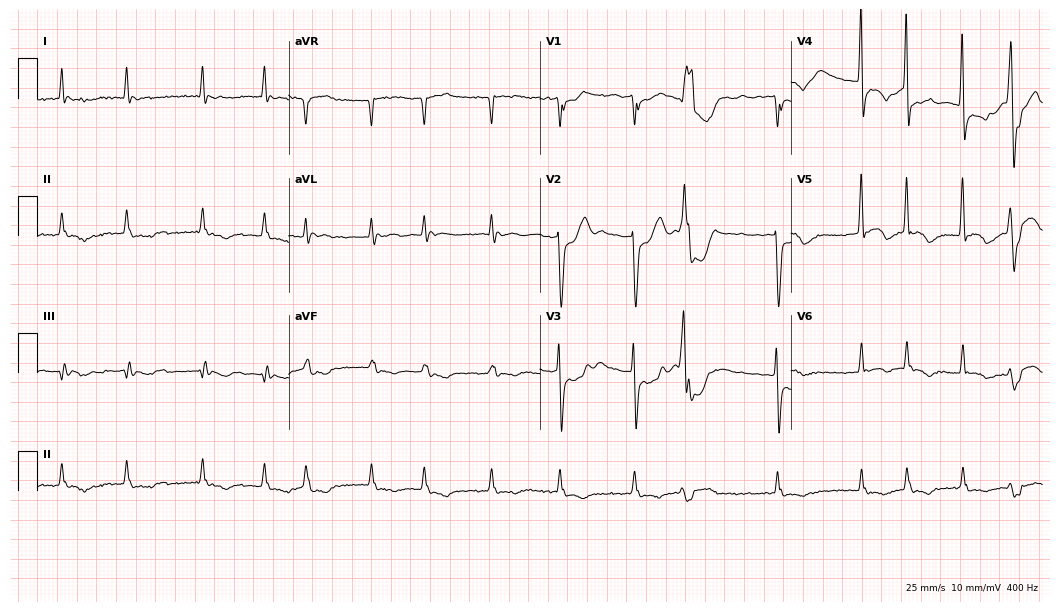
Electrocardiogram (10.2-second recording at 400 Hz), a 73-year-old male patient. Interpretation includes atrial fibrillation.